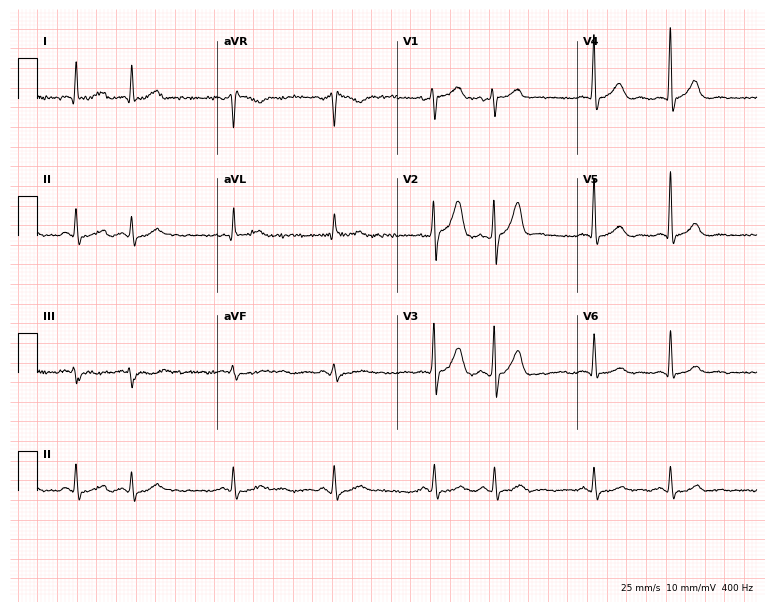
ECG (7.3-second recording at 400 Hz) — a male, 58 years old. Screened for six findings — first-degree AV block, right bundle branch block, left bundle branch block, sinus bradycardia, atrial fibrillation, sinus tachycardia — none is recorded. Only these six findings were labelled.